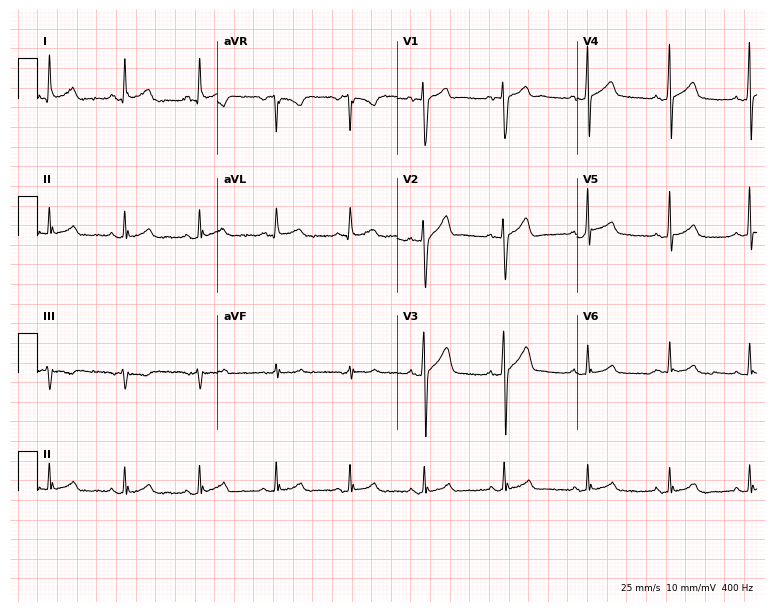
Electrocardiogram, a male, 27 years old. Overall reading on record: normal ECG.